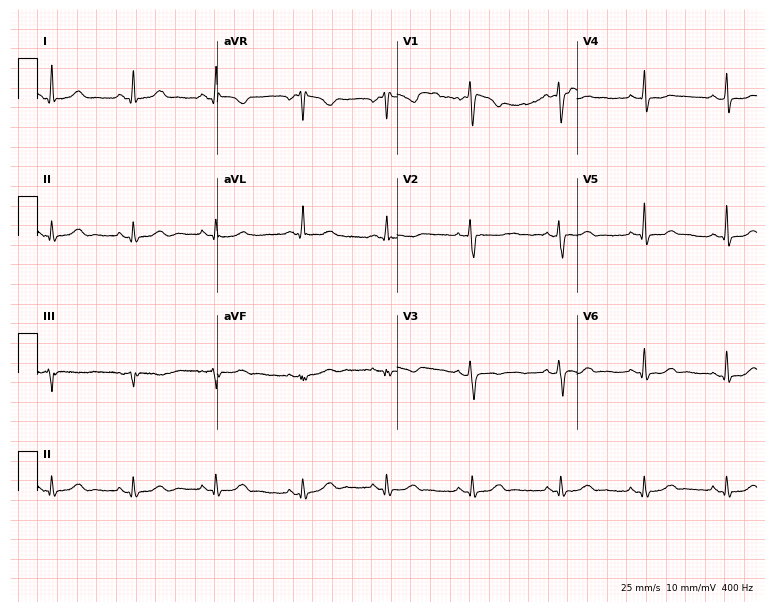
Electrocardiogram (7.3-second recording at 400 Hz), a 42-year-old female. Overall reading on record: normal ECG.